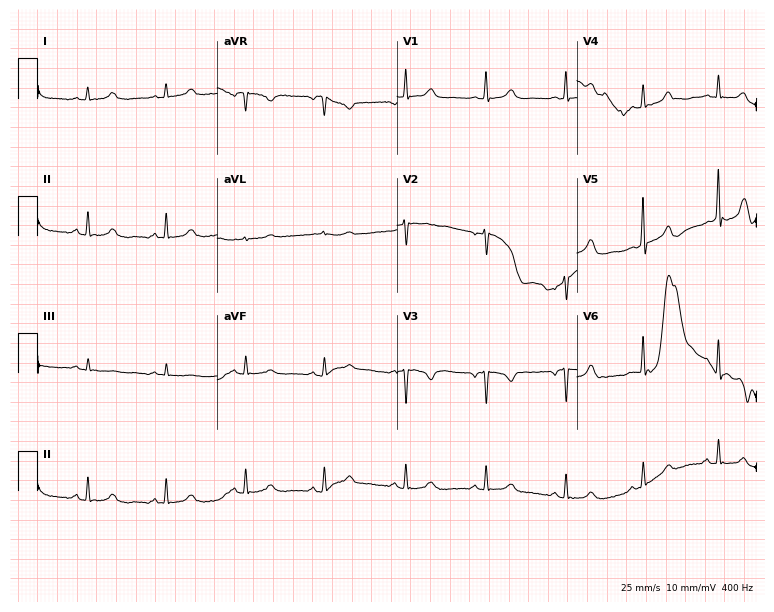
Electrocardiogram (7.3-second recording at 400 Hz), a female patient, 43 years old. Of the six screened findings (first-degree AV block, right bundle branch block, left bundle branch block, sinus bradycardia, atrial fibrillation, sinus tachycardia), none is recorded. Findings outside these six are not listed.